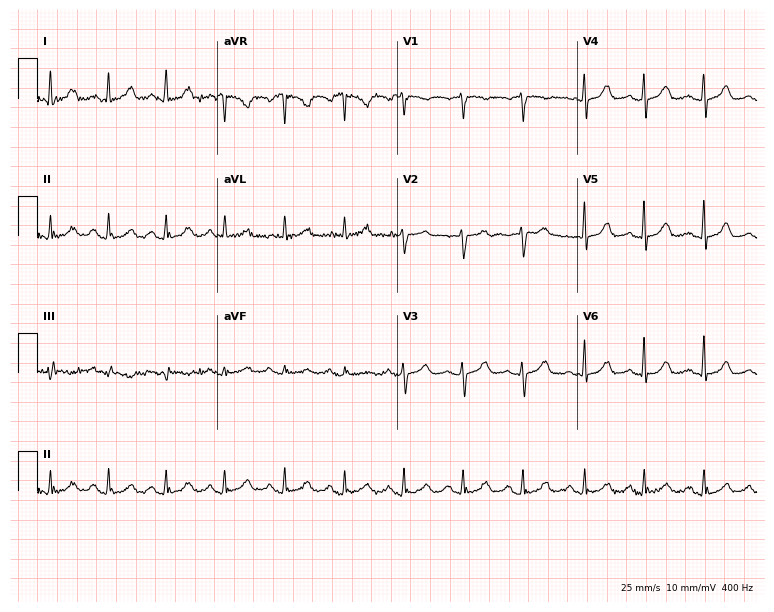
Resting 12-lead electrocardiogram (7.3-second recording at 400 Hz). Patient: a female, 66 years old. Read as a normal ECG.